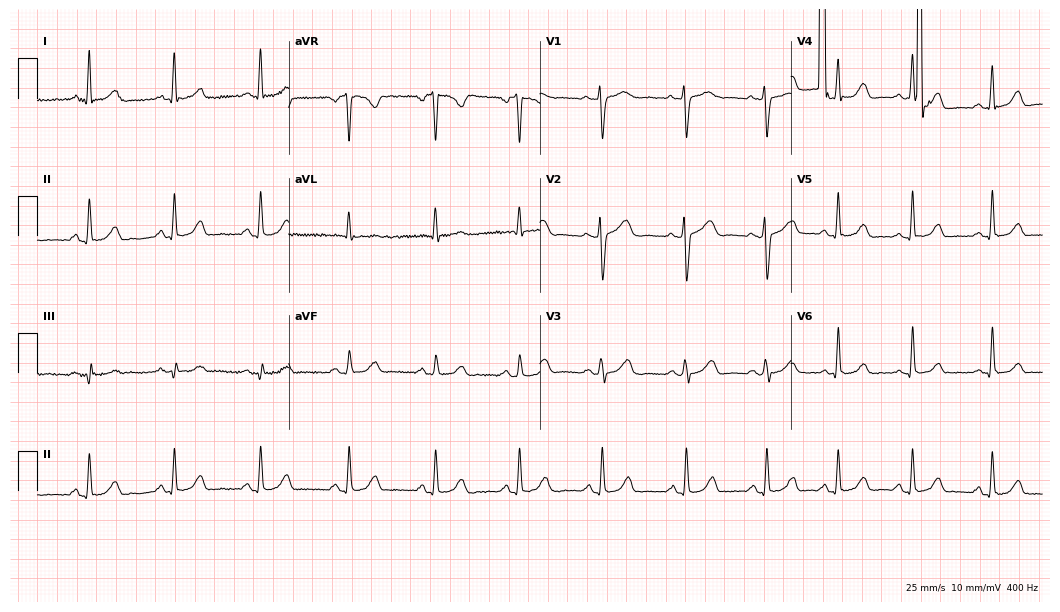
Electrocardiogram (10.2-second recording at 400 Hz), a 46-year-old female patient. Of the six screened findings (first-degree AV block, right bundle branch block (RBBB), left bundle branch block (LBBB), sinus bradycardia, atrial fibrillation (AF), sinus tachycardia), none is recorded. Findings outside these six are not listed.